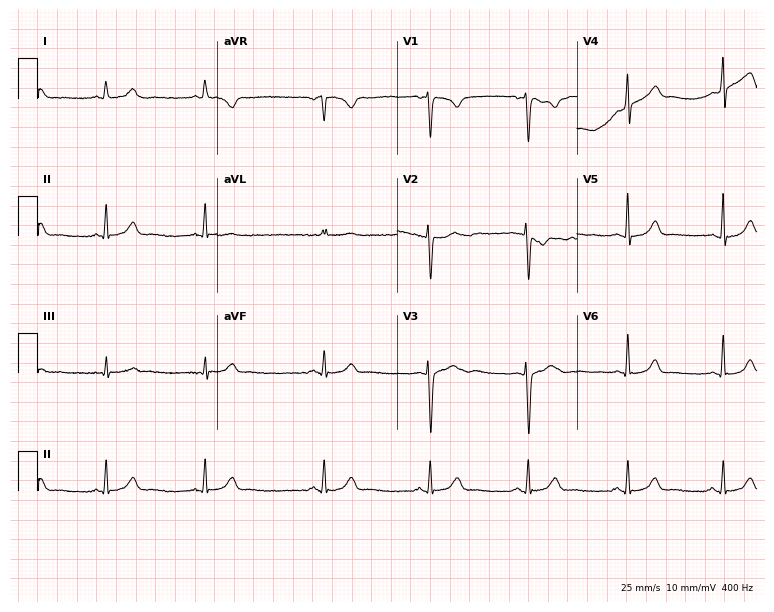
Resting 12-lead electrocardiogram (7.3-second recording at 400 Hz). Patient: a female, 30 years old. Read as a normal ECG.